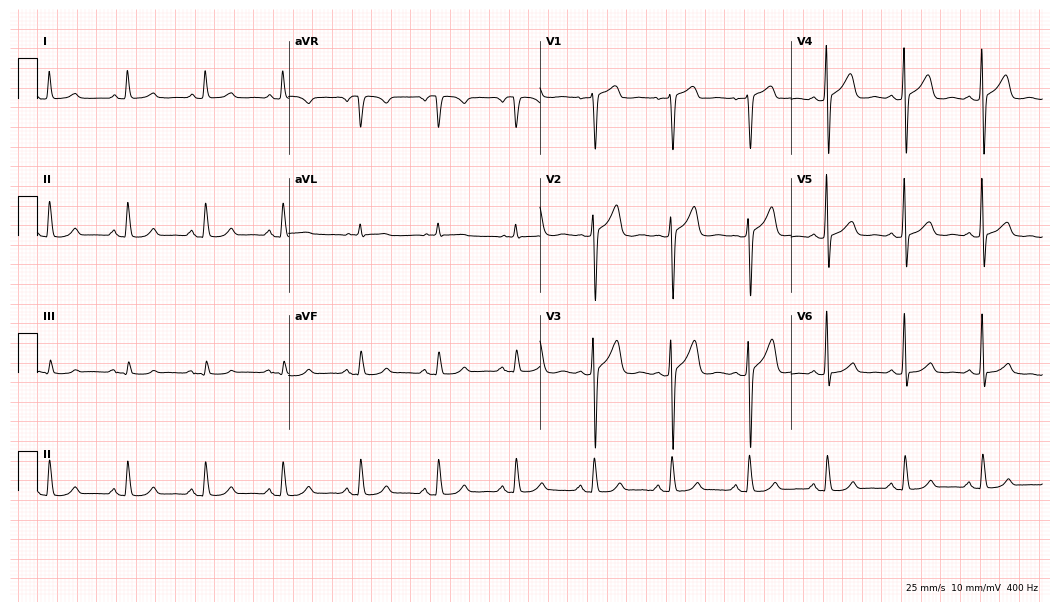
Electrocardiogram, a woman, 53 years old. Of the six screened findings (first-degree AV block, right bundle branch block, left bundle branch block, sinus bradycardia, atrial fibrillation, sinus tachycardia), none is recorded. Only these six findings were labelled.